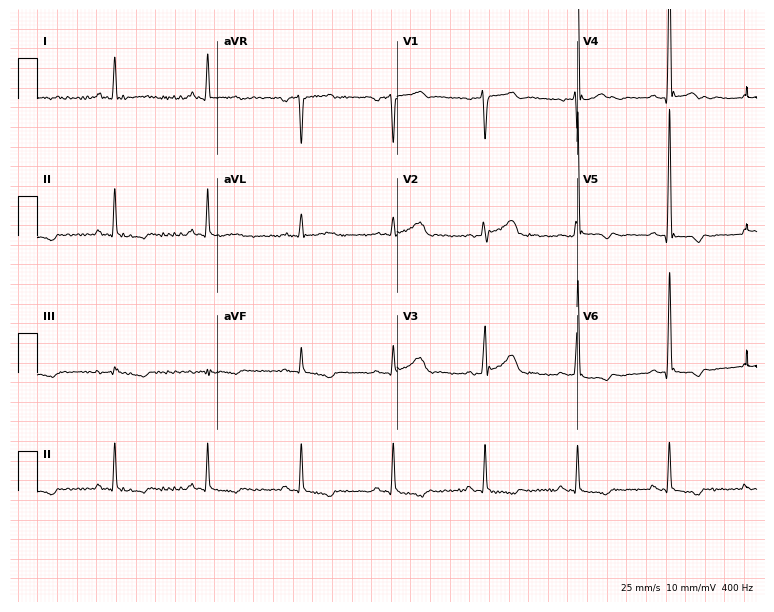
12-lead ECG from a 66-year-old male patient (7.3-second recording at 400 Hz). No first-degree AV block, right bundle branch block, left bundle branch block, sinus bradycardia, atrial fibrillation or sinus tachycardia recorded for this tracing.